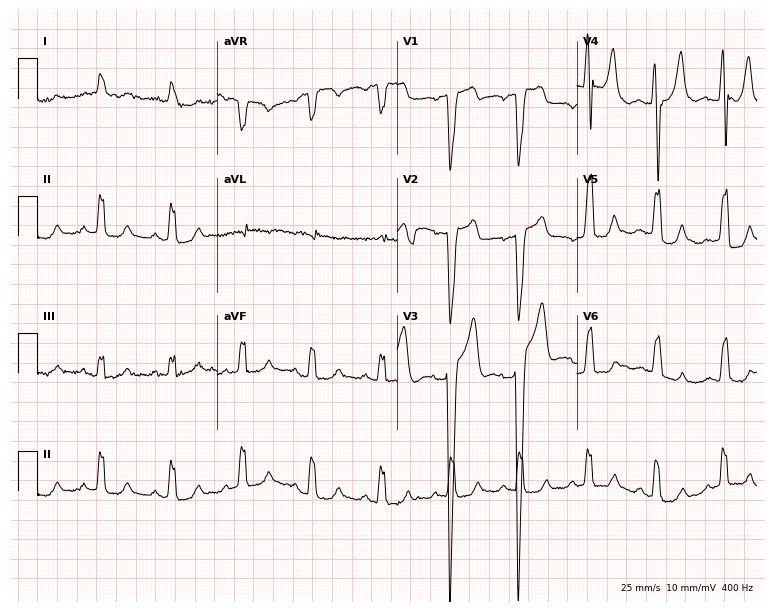
Resting 12-lead electrocardiogram (7.3-second recording at 400 Hz). Patient: a female, 57 years old. The tracing shows left bundle branch block.